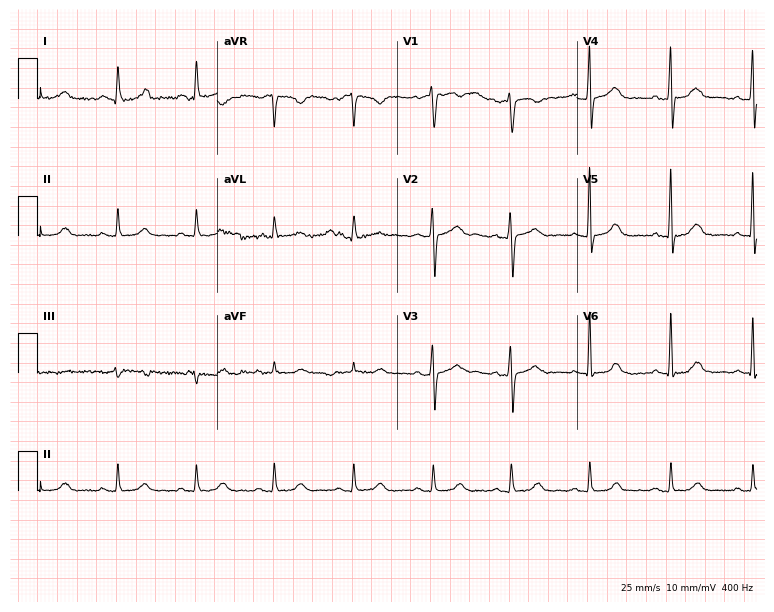
Electrocardiogram, a woman, 48 years old. Of the six screened findings (first-degree AV block, right bundle branch block, left bundle branch block, sinus bradycardia, atrial fibrillation, sinus tachycardia), none is recorded.